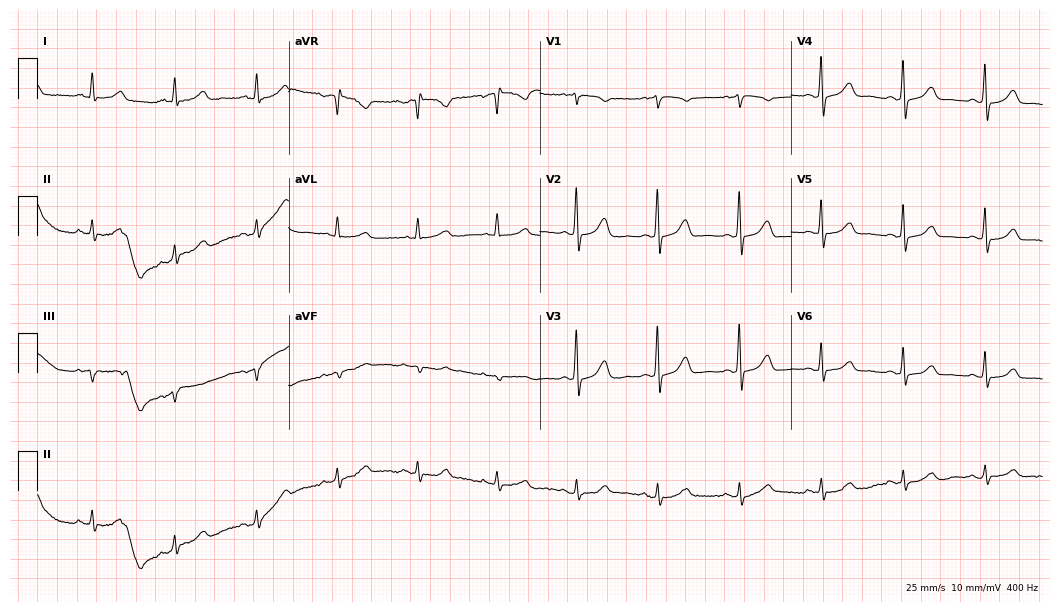
Standard 12-lead ECG recorded from a man, 74 years old. None of these six findings is recorded: first-degree AV block, right bundle branch block (RBBB), left bundle branch block (LBBB), sinus bradycardia, atrial fibrillation (AF), sinus tachycardia.